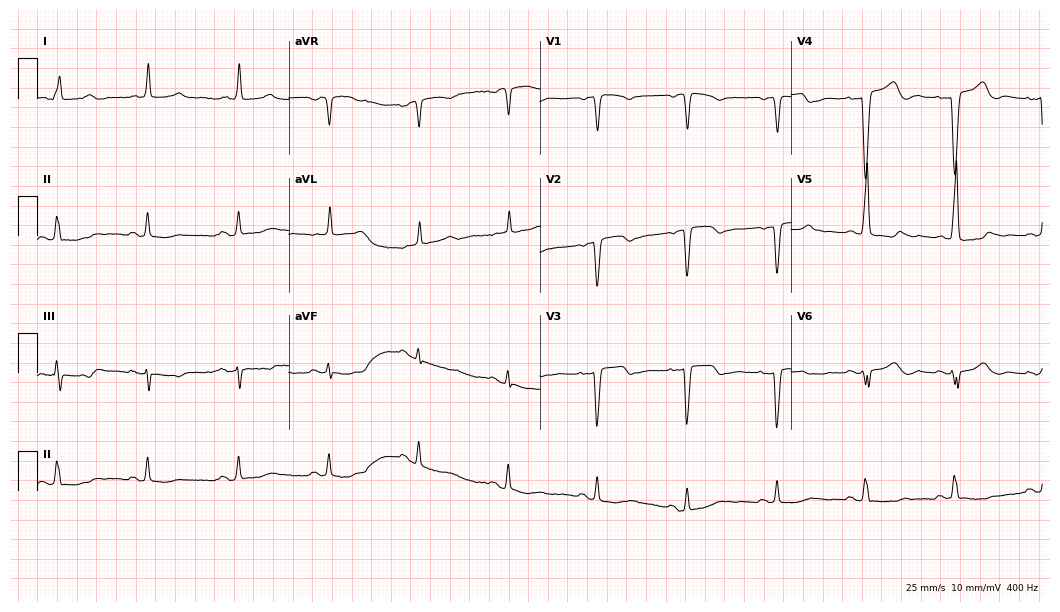
Standard 12-lead ECG recorded from a female, 80 years old (10.2-second recording at 400 Hz). None of these six findings is recorded: first-degree AV block, right bundle branch block (RBBB), left bundle branch block (LBBB), sinus bradycardia, atrial fibrillation (AF), sinus tachycardia. Findings outside these six are not listed.